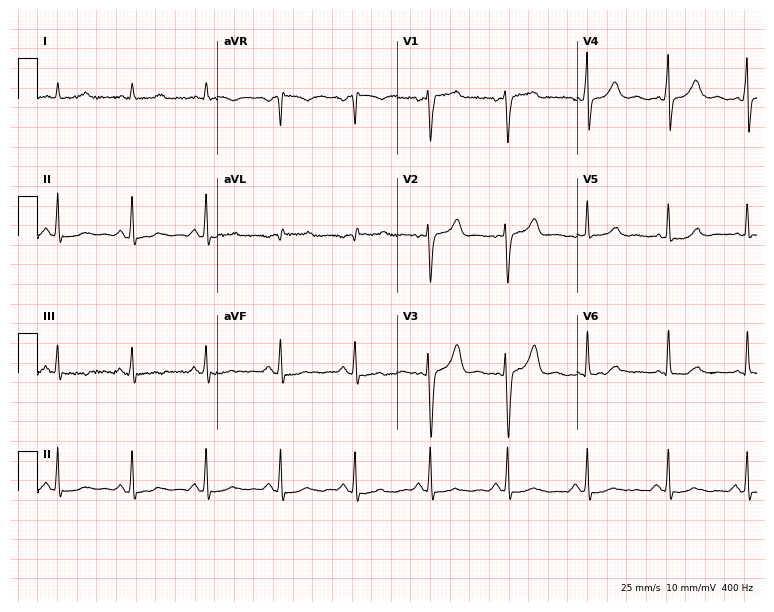
Resting 12-lead electrocardiogram (7.3-second recording at 400 Hz). Patient: a male, 40 years old. None of these six findings is recorded: first-degree AV block, right bundle branch block, left bundle branch block, sinus bradycardia, atrial fibrillation, sinus tachycardia. Findings outside these six are not listed.